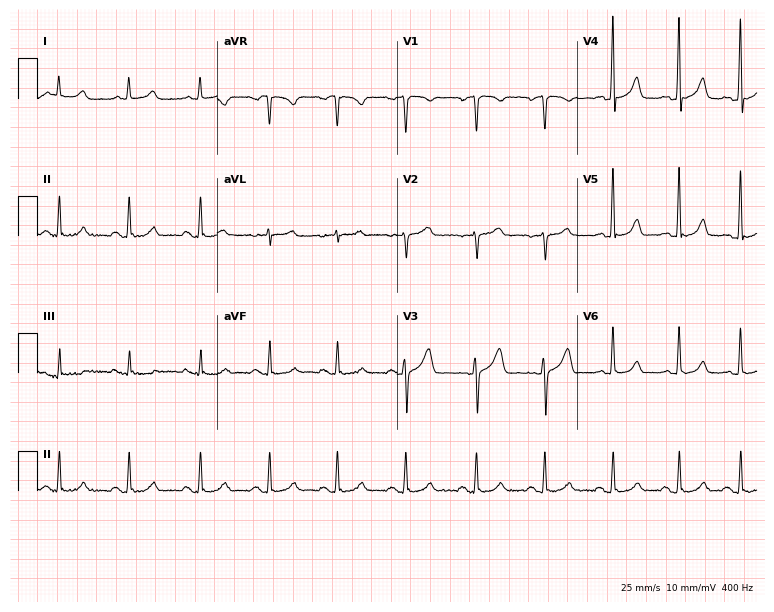
Electrocardiogram (7.3-second recording at 400 Hz), a female, 41 years old. Of the six screened findings (first-degree AV block, right bundle branch block, left bundle branch block, sinus bradycardia, atrial fibrillation, sinus tachycardia), none is recorded. Findings outside these six are not listed.